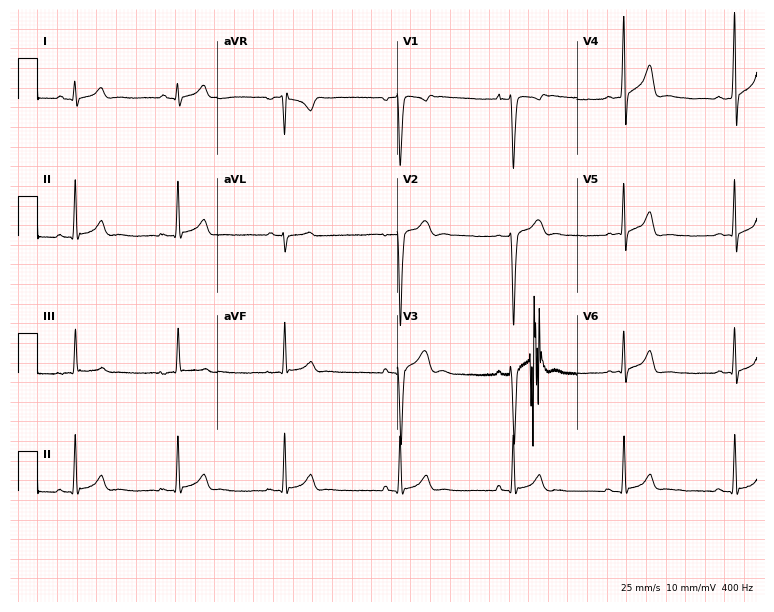
12-lead ECG from an 18-year-old male (7.3-second recording at 400 Hz). No first-degree AV block, right bundle branch block, left bundle branch block, sinus bradycardia, atrial fibrillation or sinus tachycardia recorded for this tracing. Findings outside these six are not listed.